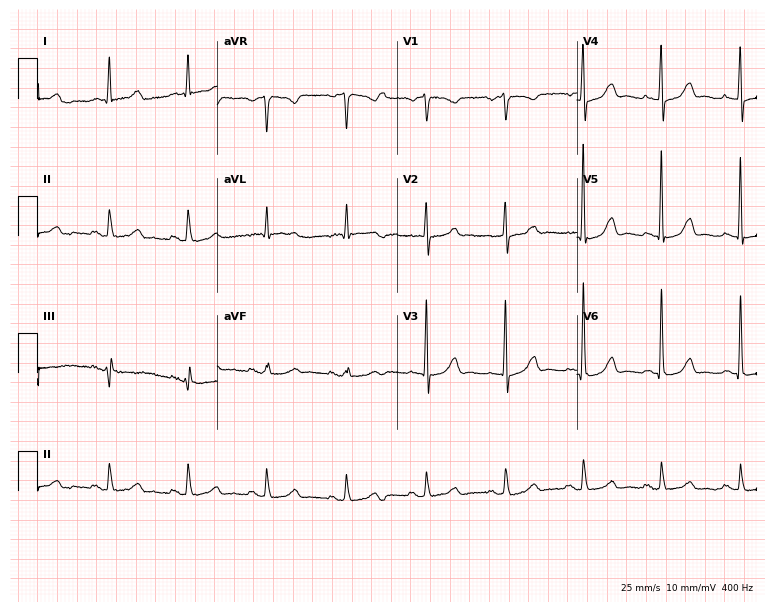
12-lead ECG from a 76-year-old female patient. Recorded interpretation: within normal limits.